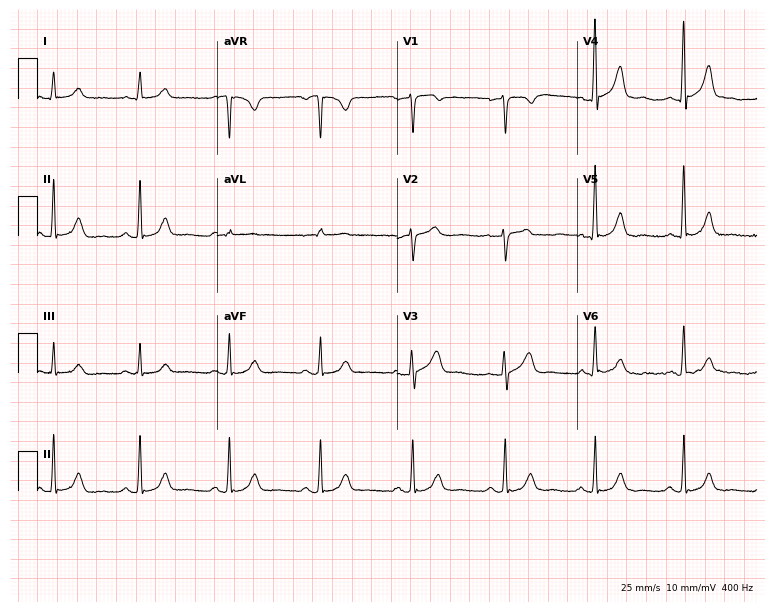
ECG — a male patient, 62 years old. Labelled as a normal ECG.